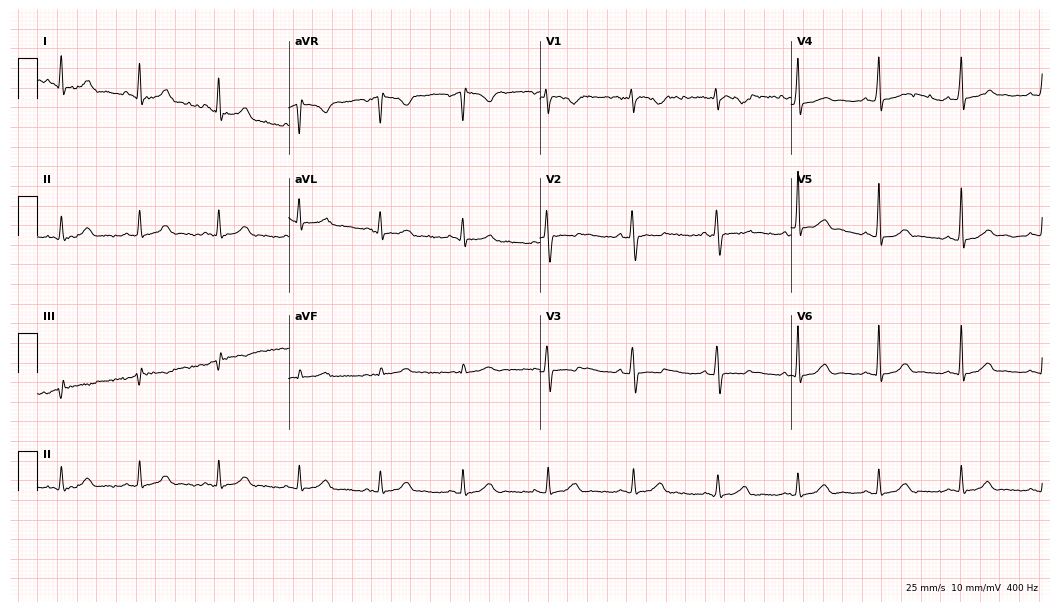
Electrocardiogram (10.2-second recording at 400 Hz), a 17-year-old female patient. Overall reading on record: normal ECG.